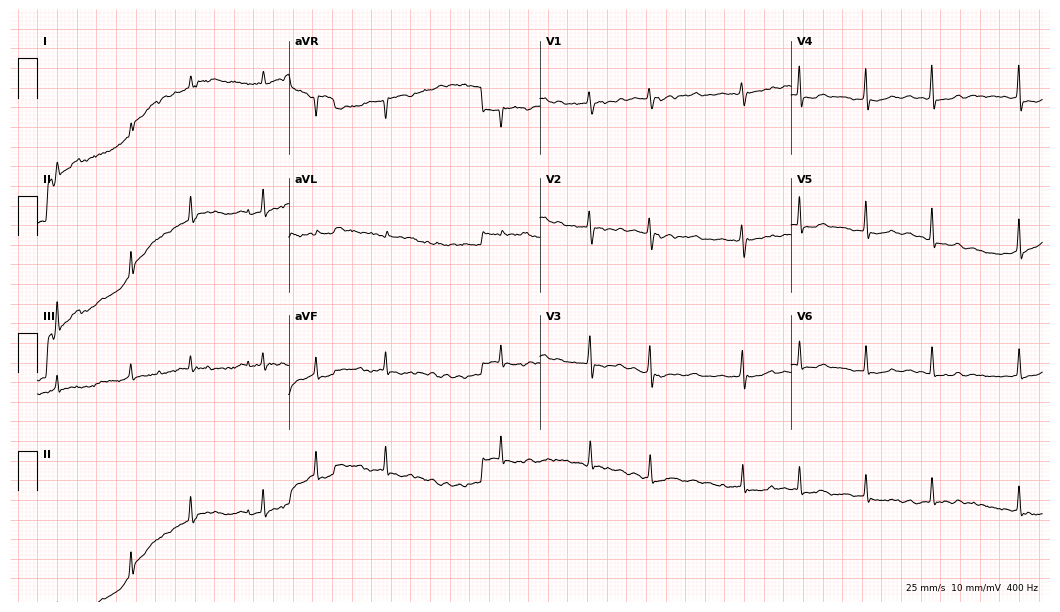
ECG (10.2-second recording at 400 Hz) — a woman, 75 years old. Screened for six findings — first-degree AV block, right bundle branch block (RBBB), left bundle branch block (LBBB), sinus bradycardia, atrial fibrillation (AF), sinus tachycardia — none is recorded. Other findings, if any, are not listed.